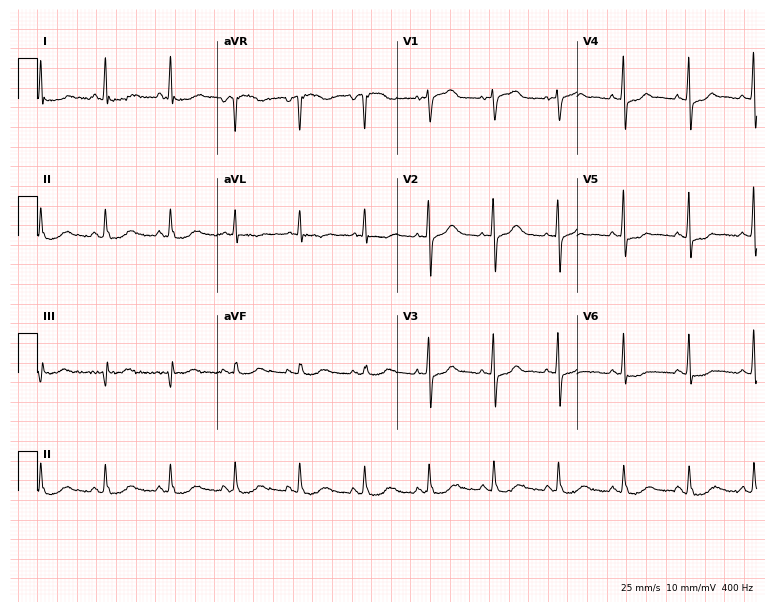
ECG — a woman, 73 years old. Screened for six findings — first-degree AV block, right bundle branch block, left bundle branch block, sinus bradycardia, atrial fibrillation, sinus tachycardia — none is recorded.